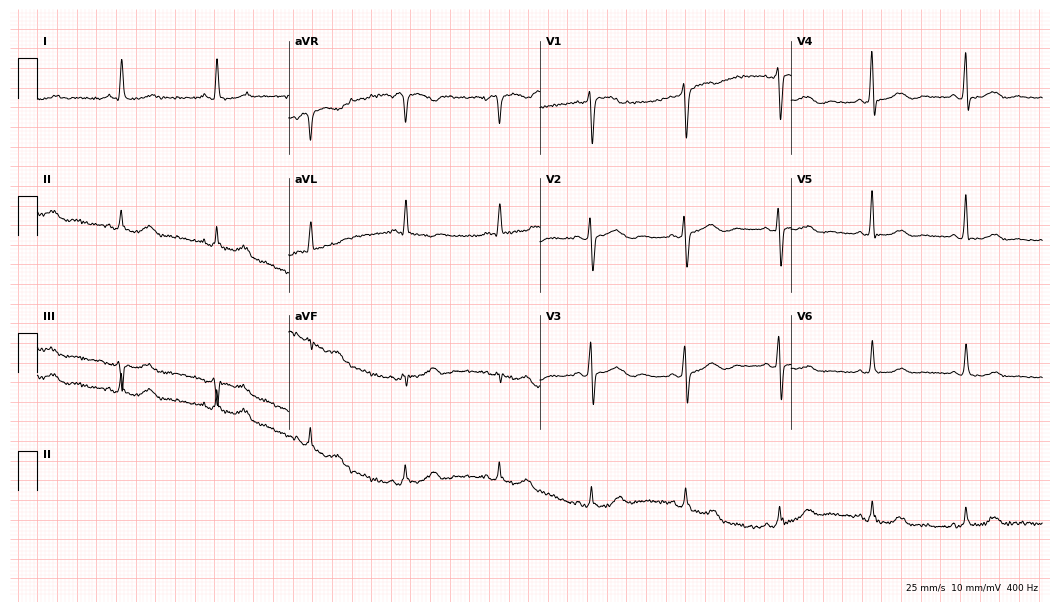
12-lead ECG from a female patient, 76 years old (10.2-second recording at 400 Hz). Recorded interpretation: within normal limits.